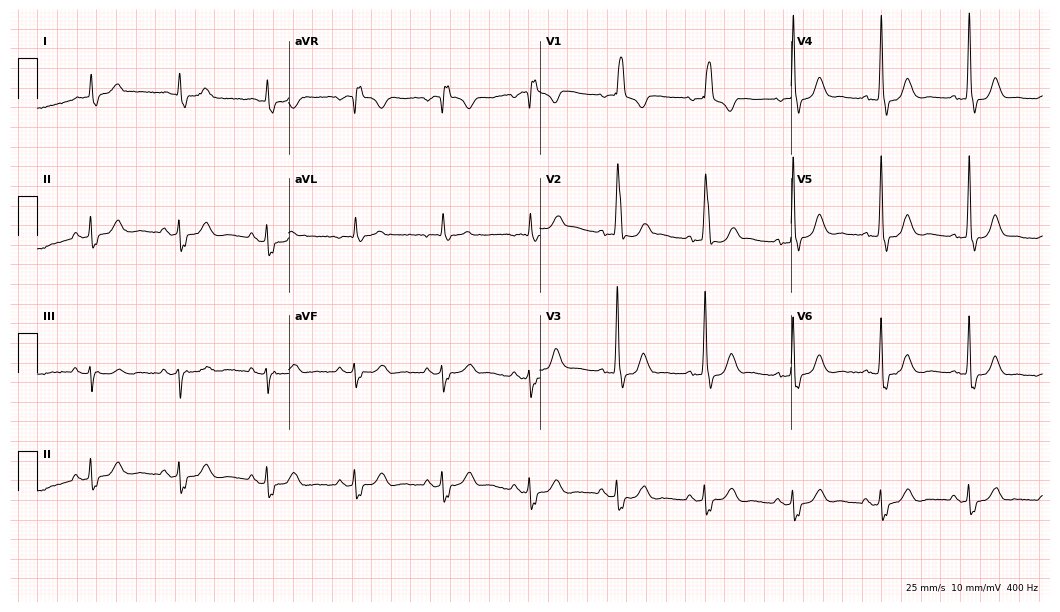
12-lead ECG from an 80-year-old male (10.2-second recording at 400 Hz). Shows right bundle branch block.